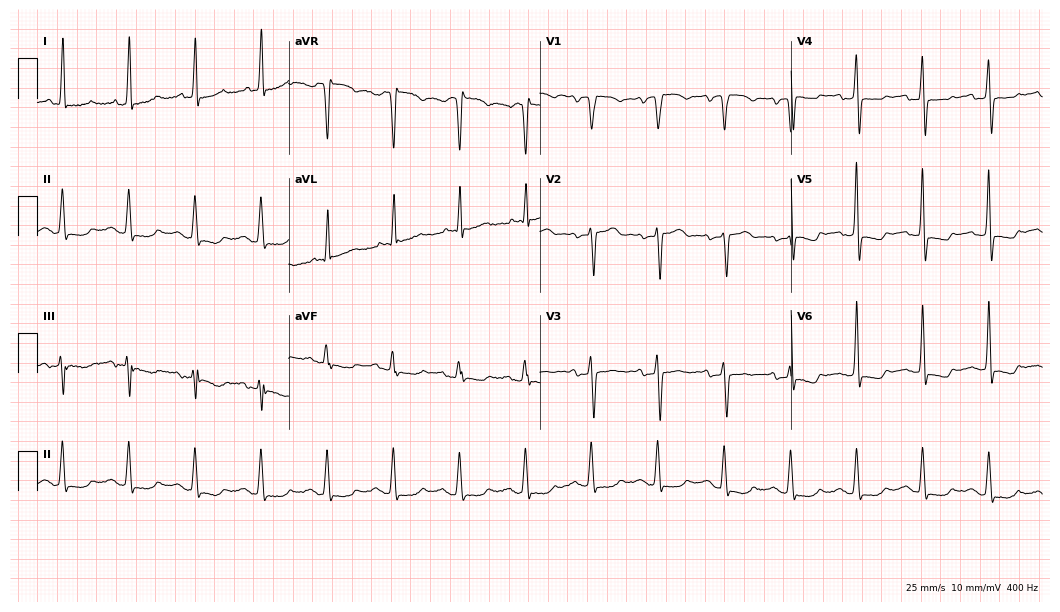
ECG — a 67-year-old female. Screened for six findings — first-degree AV block, right bundle branch block, left bundle branch block, sinus bradycardia, atrial fibrillation, sinus tachycardia — none is recorded.